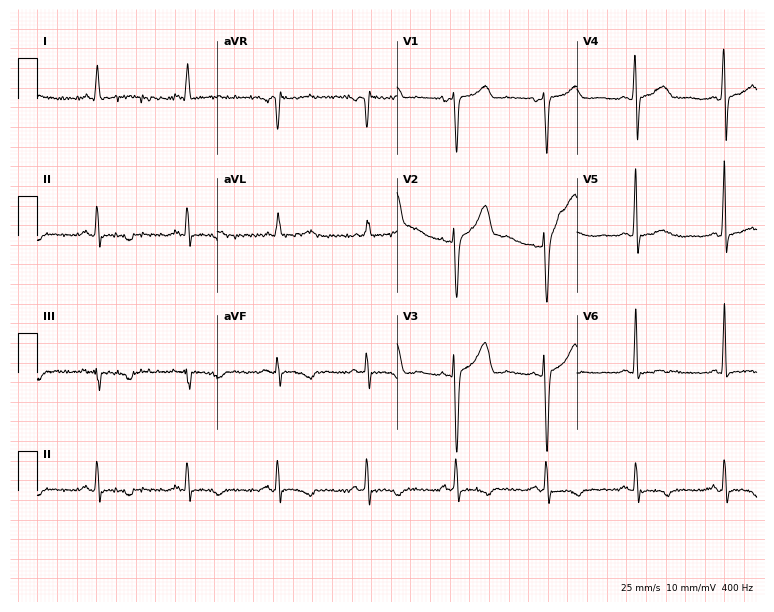
12-lead ECG (7.3-second recording at 400 Hz) from a woman, 57 years old. Screened for six findings — first-degree AV block, right bundle branch block, left bundle branch block, sinus bradycardia, atrial fibrillation, sinus tachycardia — none is recorded.